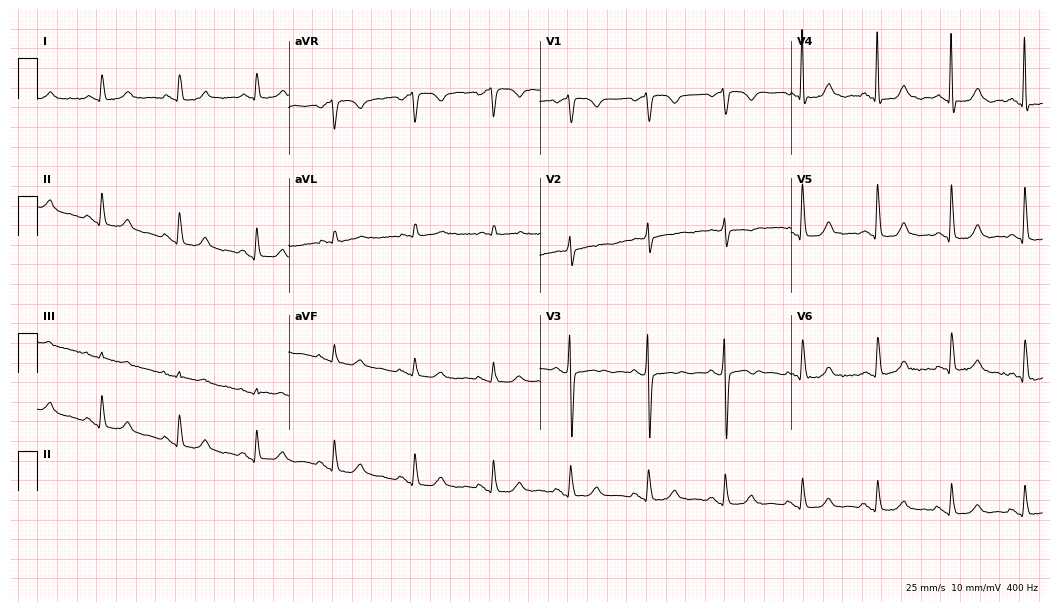
Electrocardiogram, a 68-year-old female. Of the six screened findings (first-degree AV block, right bundle branch block, left bundle branch block, sinus bradycardia, atrial fibrillation, sinus tachycardia), none is recorded. Other findings, if any, are not listed.